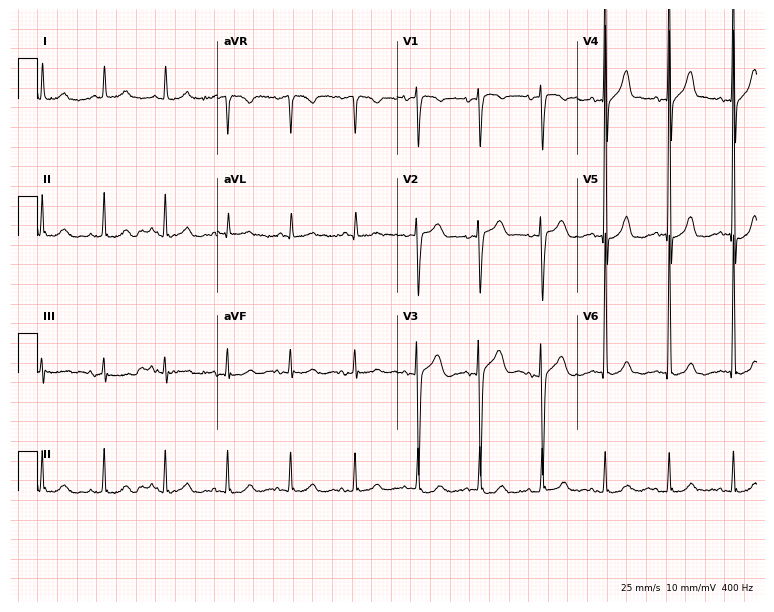
Resting 12-lead electrocardiogram. Patient: a 78-year-old woman. Read as a normal ECG.